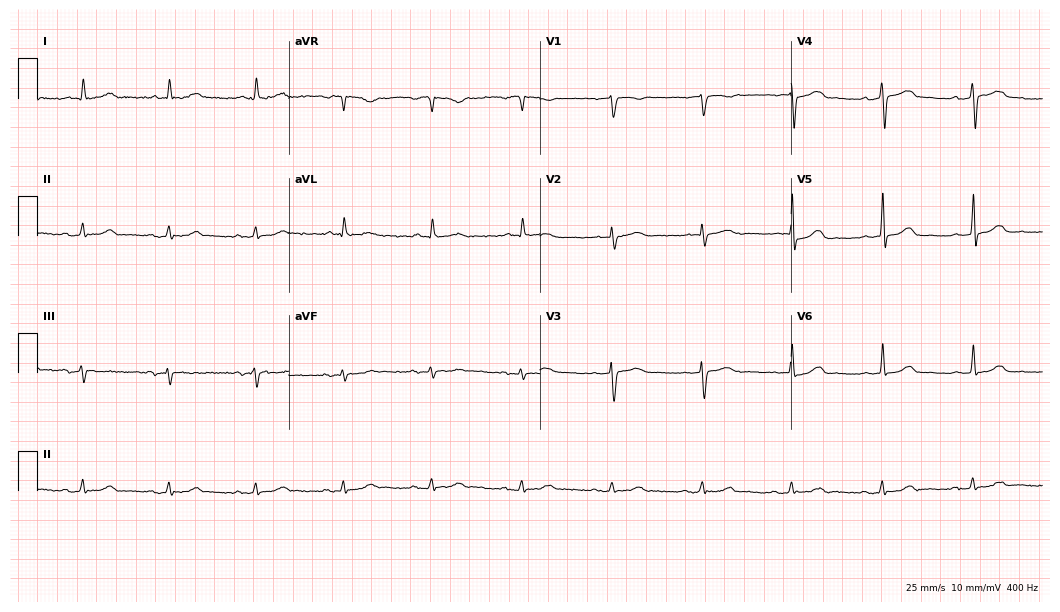
Resting 12-lead electrocardiogram (10.2-second recording at 400 Hz). Patient: a male, 79 years old. Read as a normal ECG.